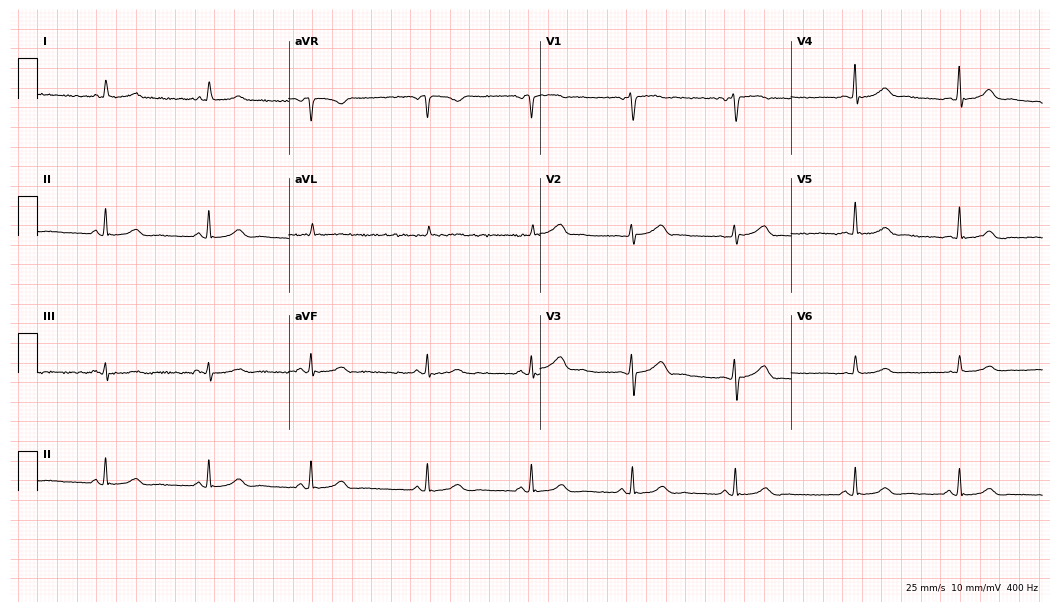
12-lead ECG from a 59-year-old female (10.2-second recording at 400 Hz). Recorded interpretation: within normal limits.